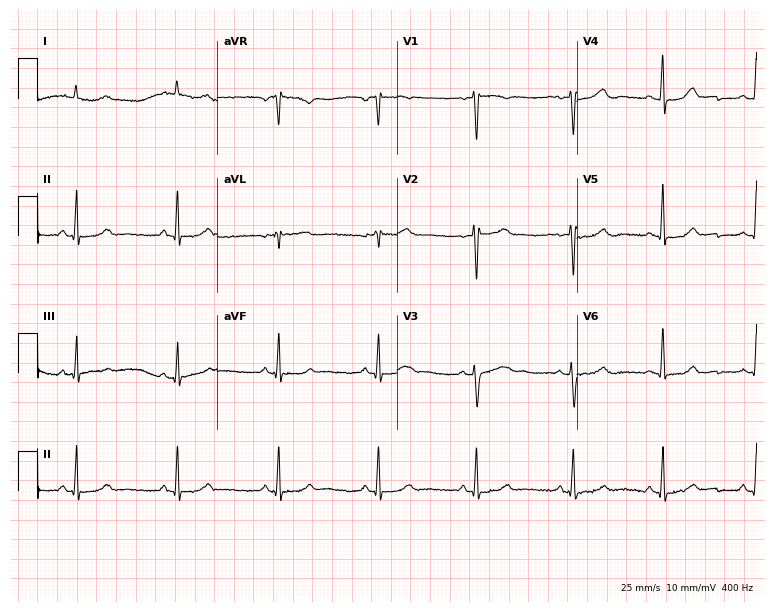
12-lead ECG from a woman, 43 years old (7.3-second recording at 400 Hz). Recorded interpretation: within normal limits.